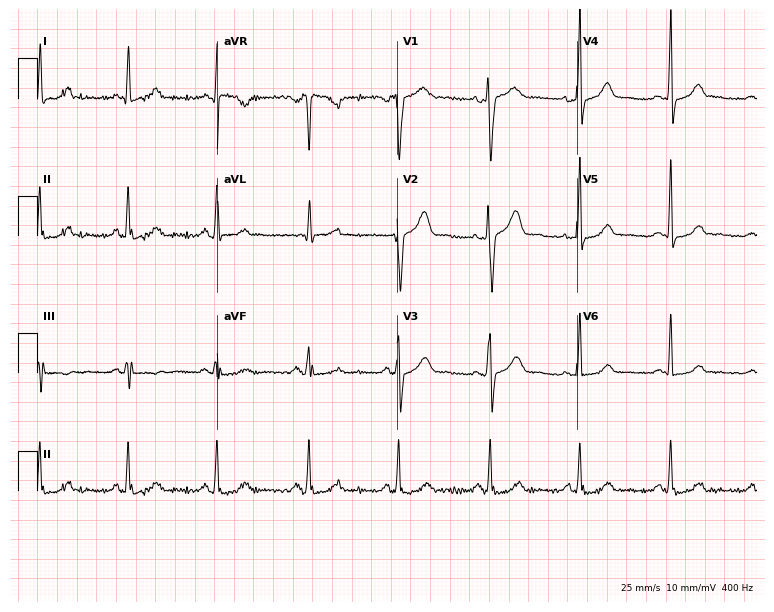
Electrocardiogram, a 34-year-old woman. Overall reading on record: normal ECG.